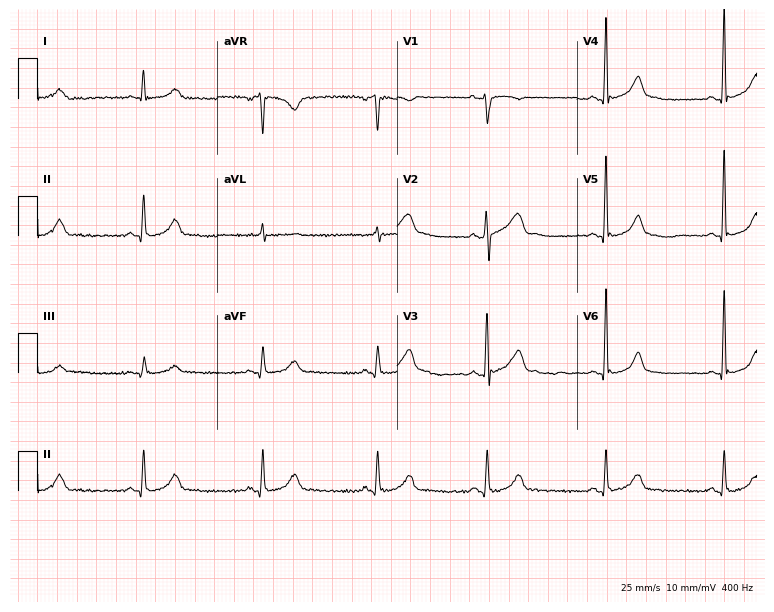
12-lead ECG (7.3-second recording at 400 Hz) from a male, 43 years old. Findings include sinus bradycardia (a sinus rate of 50 beats per minute or less).